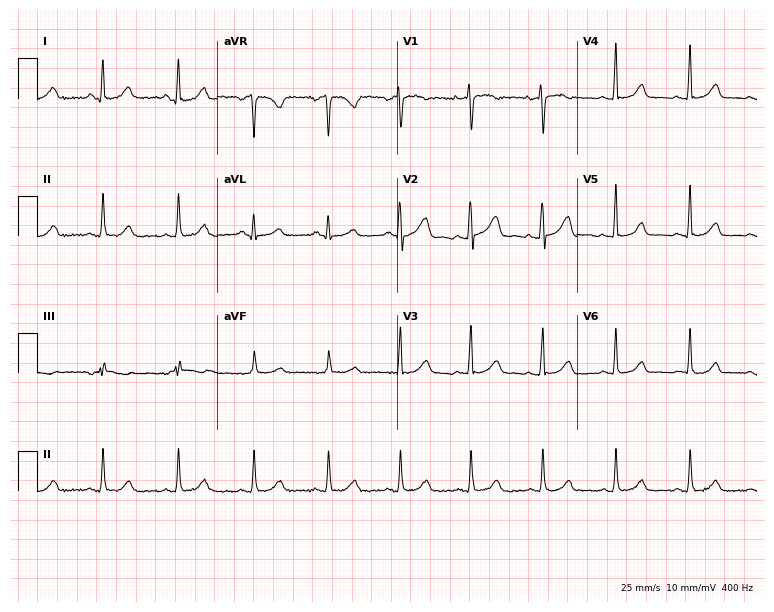
12-lead ECG from a 46-year-old female patient (7.3-second recording at 400 Hz). Recorded interpretation: within normal limits.